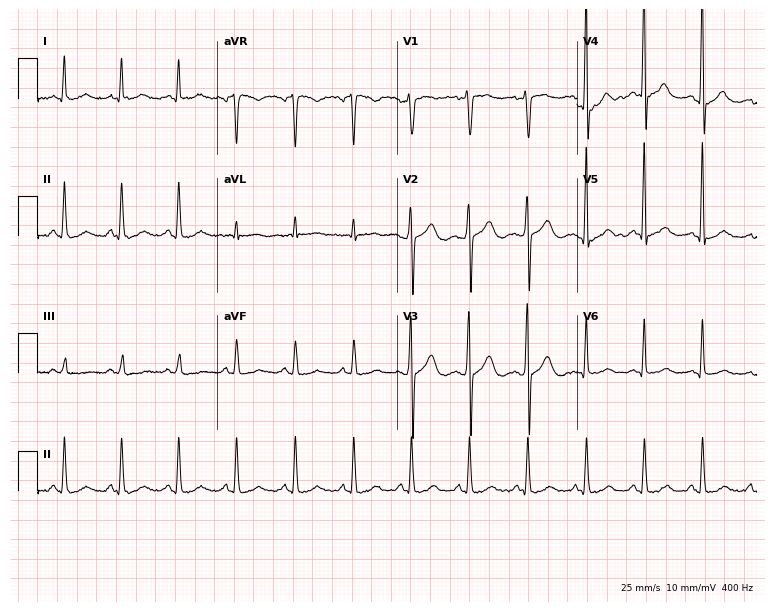
12-lead ECG from a 46-year-old male. Screened for six findings — first-degree AV block, right bundle branch block (RBBB), left bundle branch block (LBBB), sinus bradycardia, atrial fibrillation (AF), sinus tachycardia — none is recorded. Other findings, if any, are not listed.